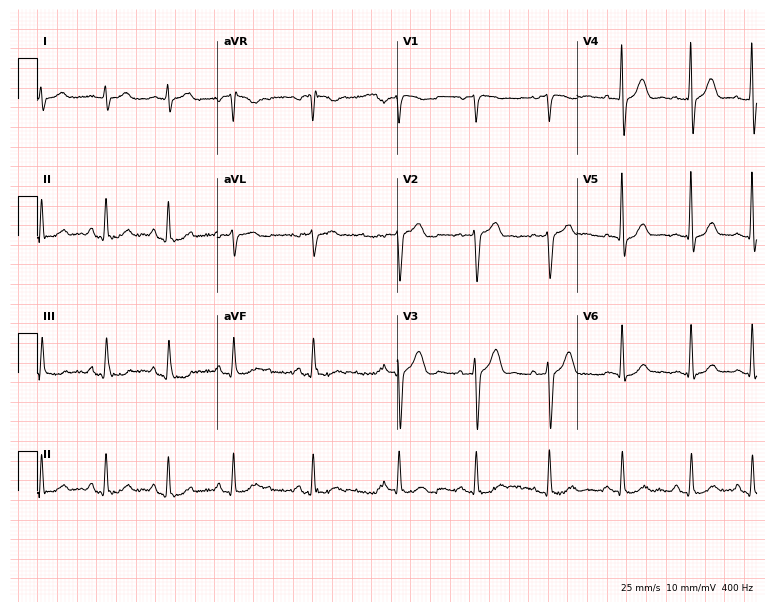
Electrocardiogram (7.3-second recording at 400 Hz), a 60-year-old male patient. Overall reading on record: normal ECG.